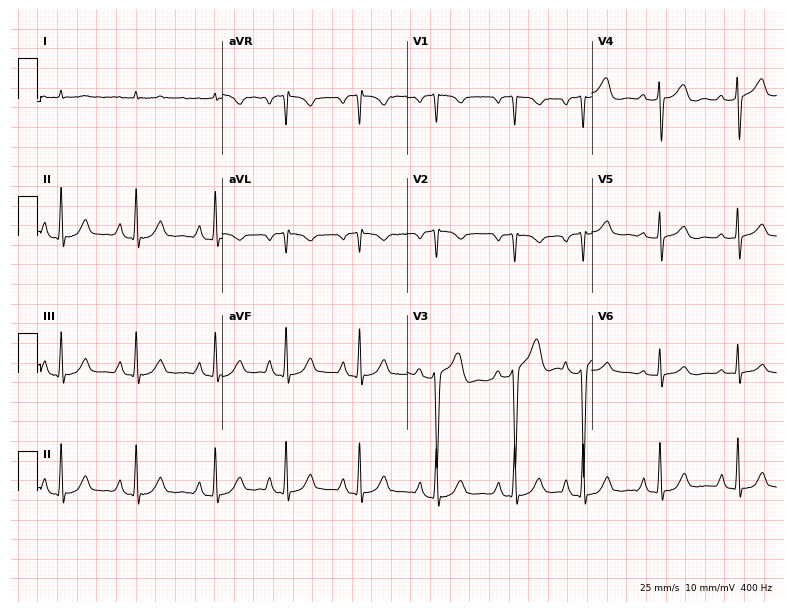
ECG — a 62-year-old male patient. Screened for six findings — first-degree AV block, right bundle branch block, left bundle branch block, sinus bradycardia, atrial fibrillation, sinus tachycardia — none is recorded.